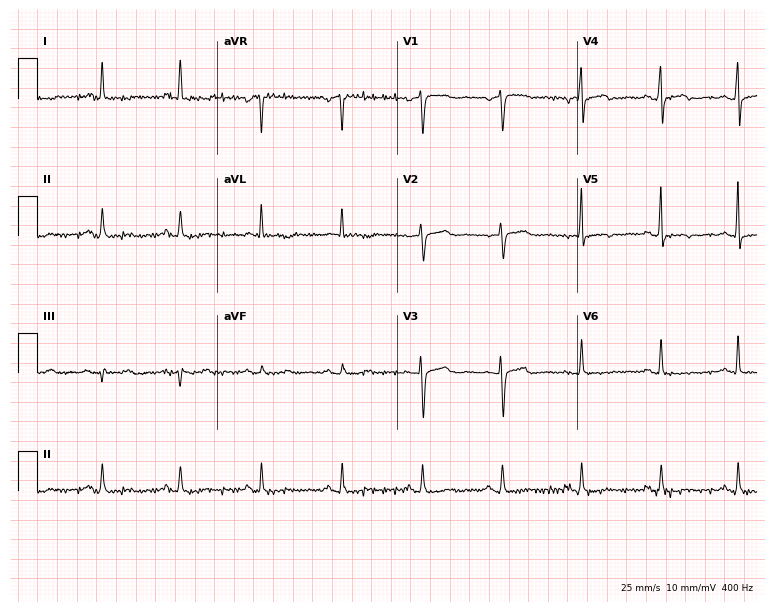
Standard 12-lead ECG recorded from a 63-year-old female patient (7.3-second recording at 400 Hz). None of these six findings is recorded: first-degree AV block, right bundle branch block (RBBB), left bundle branch block (LBBB), sinus bradycardia, atrial fibrillation (AF), sinus tachycardia. Only these six findings were labelled.